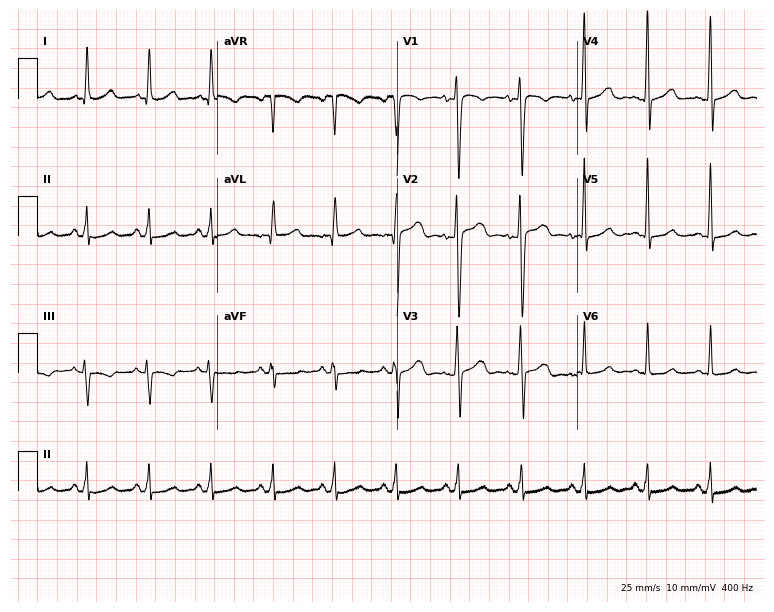
12-lead ECG from a 41-year-old man (7.3-second recording at 400 Hz). No first-degree AV block, right bundle branch block, left bundle branch block, sinus bradycardia, atrial fibrillation or sinus tachycardia recorded for this tracing.